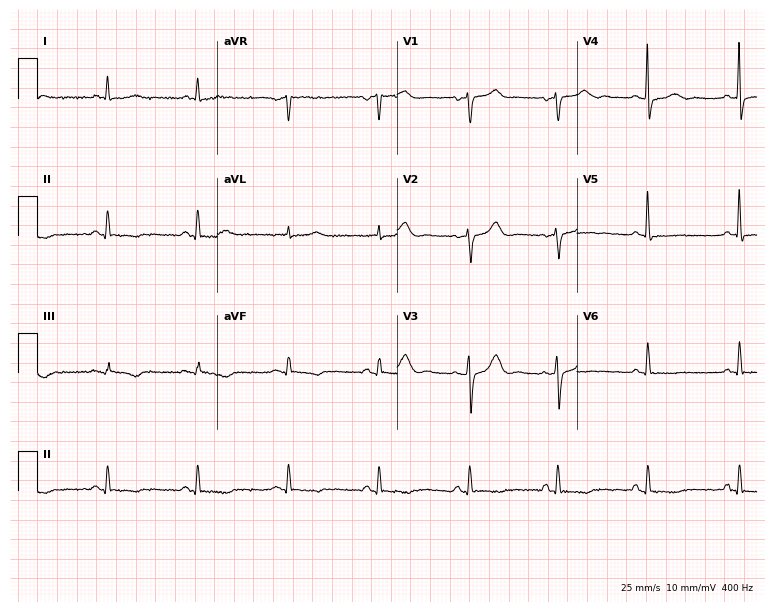
ECG (7.3-second recording at 400 Hz) — a female patient, 61 years old. Screened for six findings — first-degree AV block, right bundle branch block, left bundle branch block, sinus bradycardia, atrial fibrillation, sinus tachycardia — none is recorded. Only these six findings were labelled.